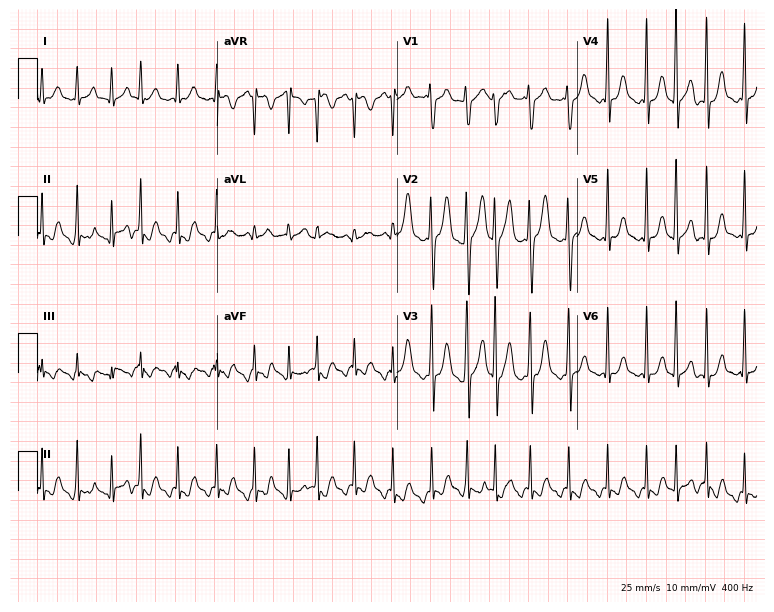
Standard 12-lead ECG recorded from a male, 33 years old. None of these six findings is recorded: first-degree AV block, right bundle branch block, left bundle branch block, sinus bradycardia, atrial fibrillation, sinus tachycardia.